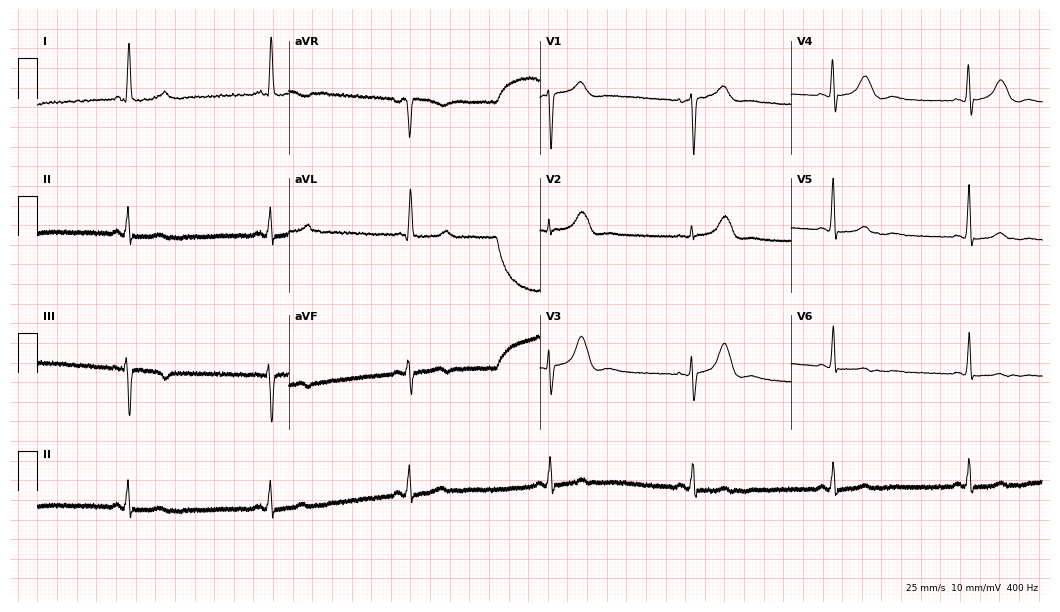
Standard 12-lead ECG recorded from a female, 82 years old (10.2-second recording at 400 Hz). The tracing shows sinus bradycardia (a sinus rate of 50 beats per minute or less).